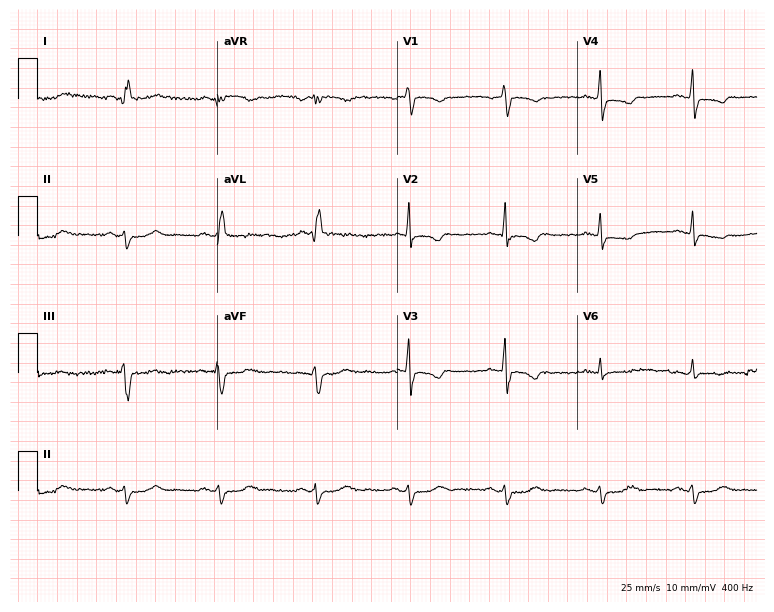
Standard 12-lead ECG recorded from a woman, 62 years old. None of these six findings is recorded: first-degree AV block, right bundle branch block (RBBB), left bundle branch block (LBBB), sinus bradycardia, atrial fibrillation (AF), sinus tachycardia.